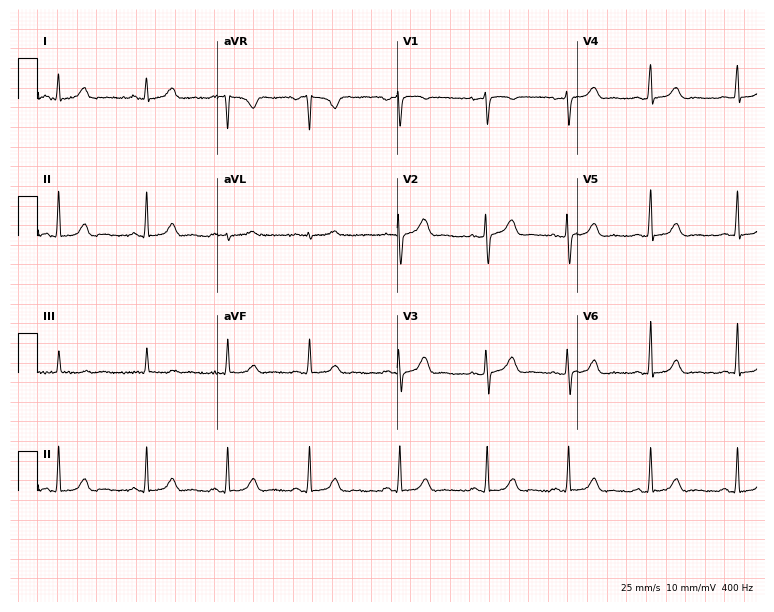
12-lead ECG from a woman, 41 years old. Recorded interpretation: within normal limits.